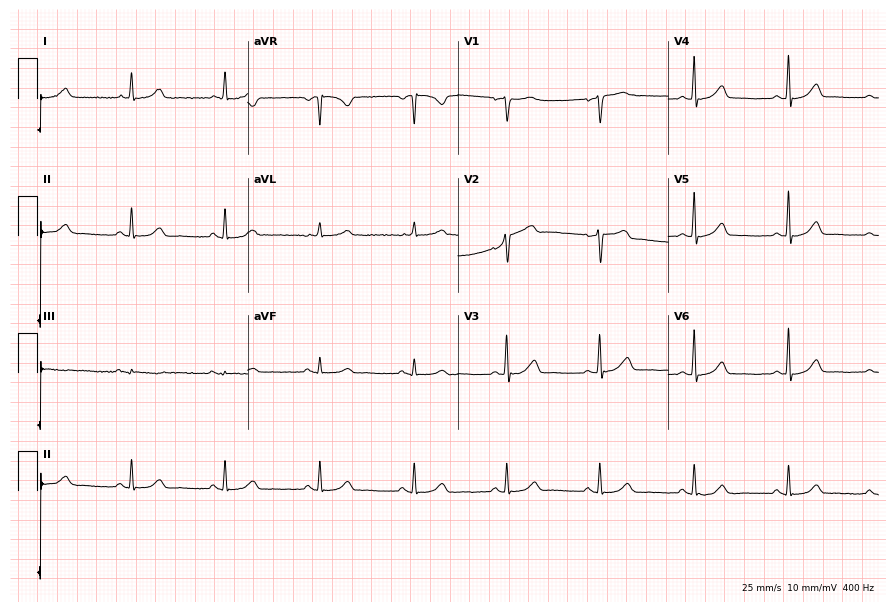
12-lead ECG (8.6-second recording at 400 Hz) from a 68-year-old woman. Labelled as a normal ECG.